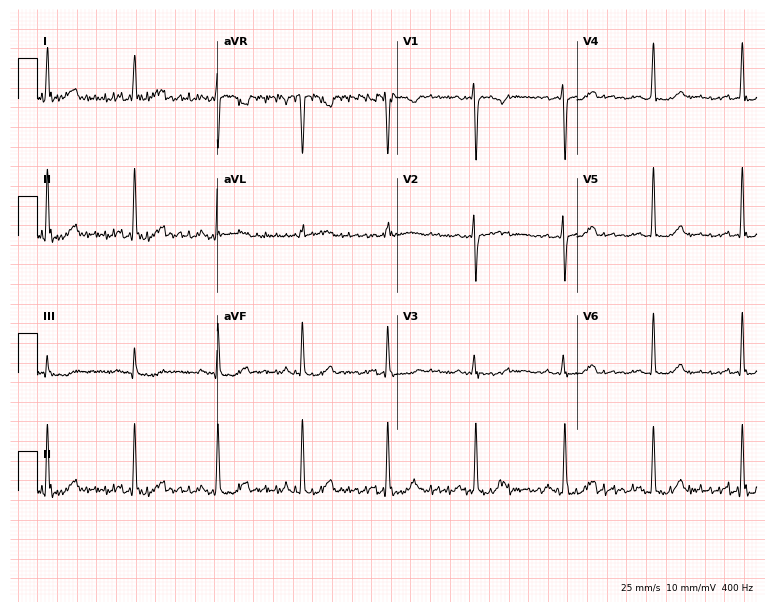
Resting 12-lead electrocardiogram. Patient: a female, 39 years old. None of these six findings is recorded: first-degree AV block, right bundle branch block, left bundle branch block, sinus bradycardia, atrial fibrillation, sinus tachycardia. Other findings, if any, are not listed.